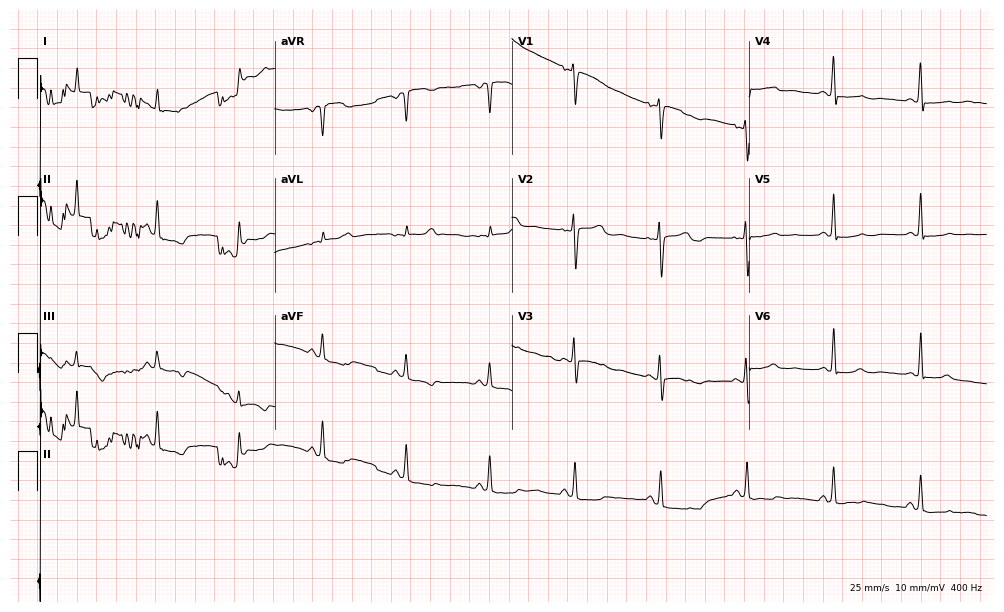
12-lead ECG (9.7-second recording at 400 Hz) from a 40-year-old female. Screened for six findings — first-degree AV block, right bundle branch block, left bundle branch block, sinus bradycardia, atrial fibrillation, sinus tachycardia — none is recorded. Other findings, if any, are not listed.